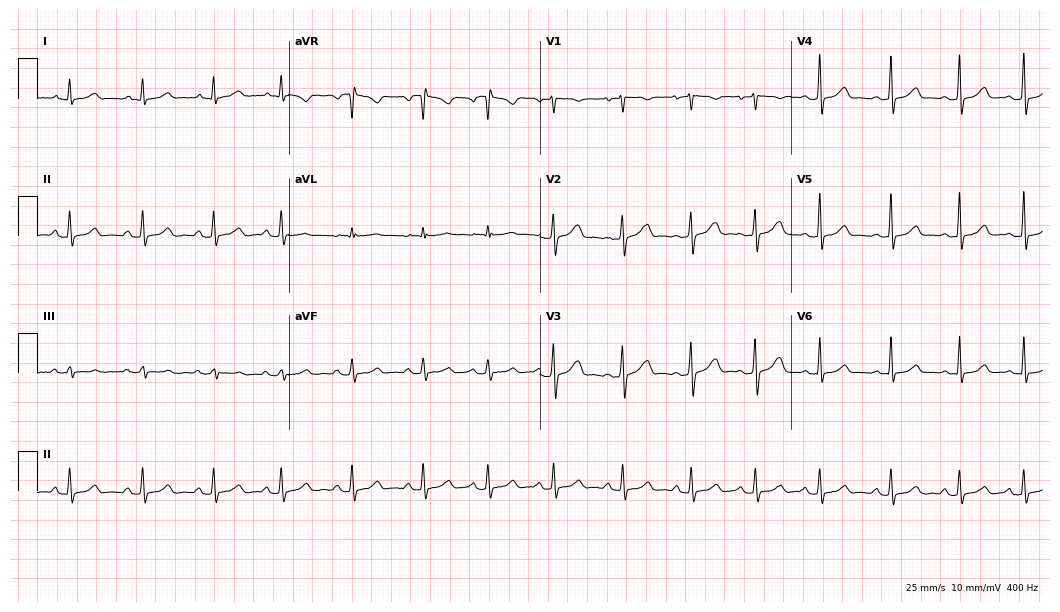
Standard 12-lead ECG recorded from a female patient, 28 years old. Read as a normal ECG.